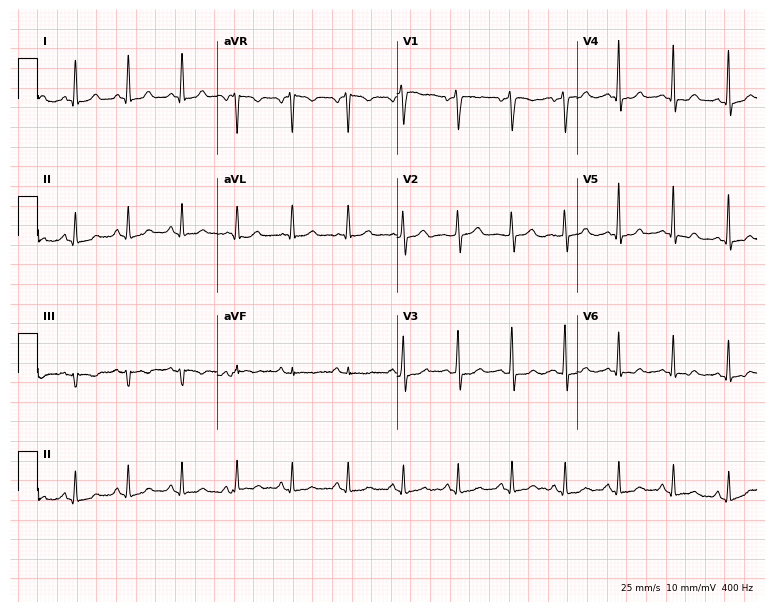
Standard 12-lead ECG recorded from a woman, 56 years old. The tracing shows sinus tachycardia (a sinus rate of 100 beats per minute or more).